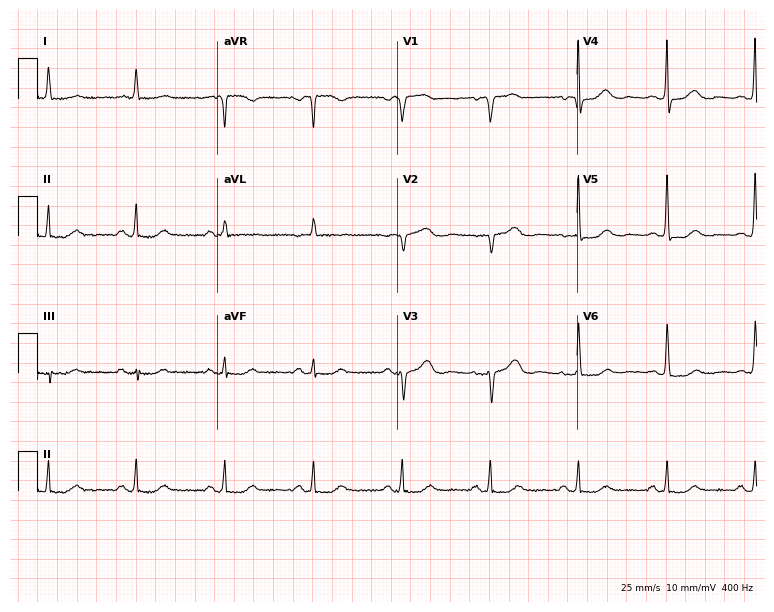
ECG (7.3-second recording at 400 Hz) — an 83-year-old female. Screened for six findings — first-degree AV block, right bundle branch block, left bundle branch block, sinus bradycardia, atrial fibrillation, sinus tachycardia — none is recorded.